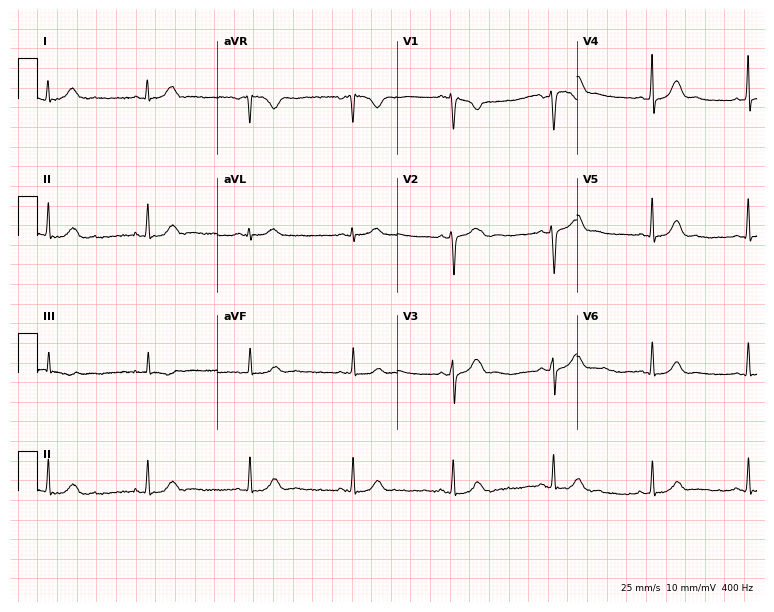
Electrocardiogram (7.3-second recording at 400 Hz), a 31-year-old woman. Of the six screened findings (first-degree AV block, right bundle branch block, left bundle branch block, sinus bradycardia, atrial fibrillation, sinus tachycardia), none is recorded. Only these six findings were labelled.